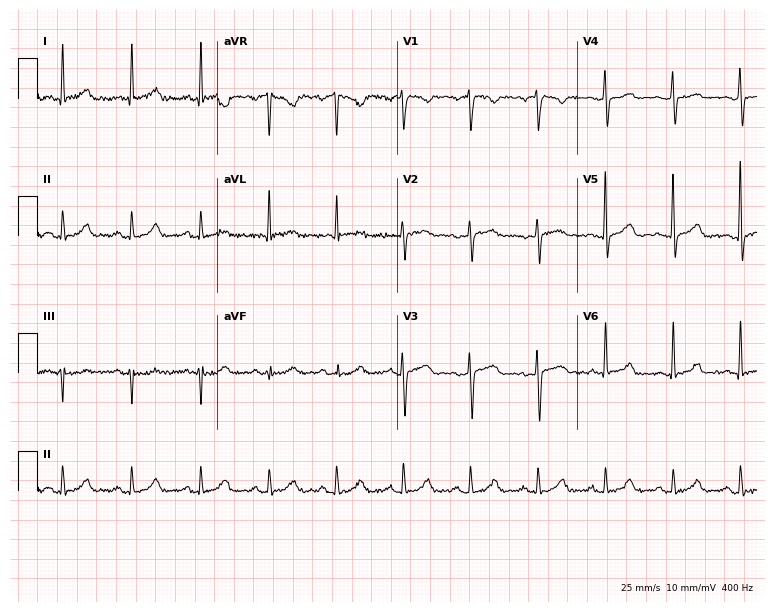
12-lead ECG (7.3-second recording at 400 Hz) from a female, 50 years old. Screened for six findings — first-degree AV block, right bundle branch block, left bundle branch block, sinus bradycardia, atrial fibrillation, sinus tachycardia — none is recorded. Other findings, if any, are not listed.